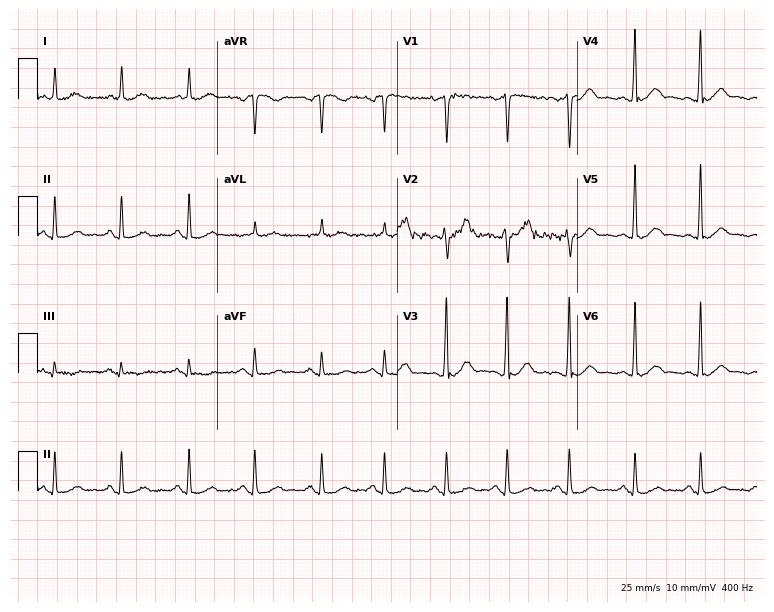
Electrocardiogram (7.3-second recording at 400 Hz), a male, 48 years old. Of the six screened findings (first-degree AV block, right bundle branch block, left bundle branch block, sinus bradycardia, atrial fibrillation, sinus tachycardia), none is recorded. Findings outside these six are not listed.